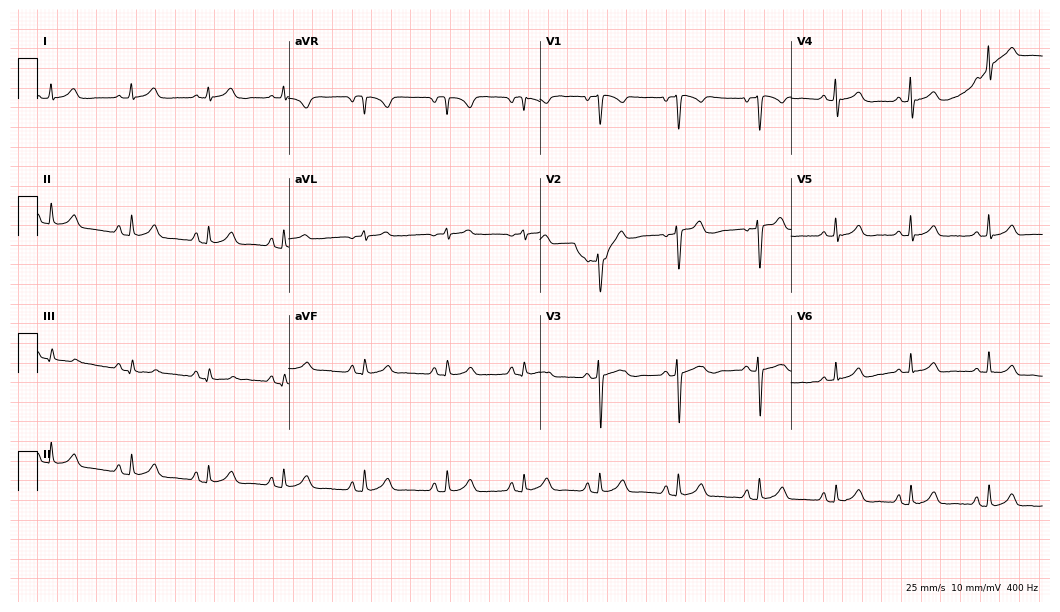
12-lead ECG from a 24-year-old female. Recorded interpretation: within normal limits.